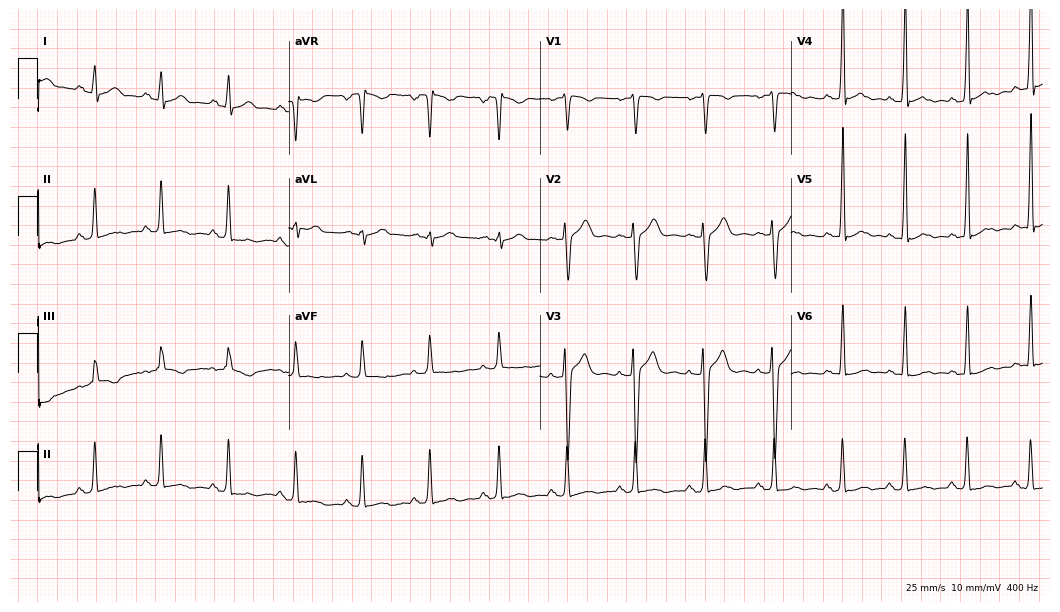
Resting 12-lead electrocardiogram. Patient: an 18-year-old male. Read as a normal ECG.